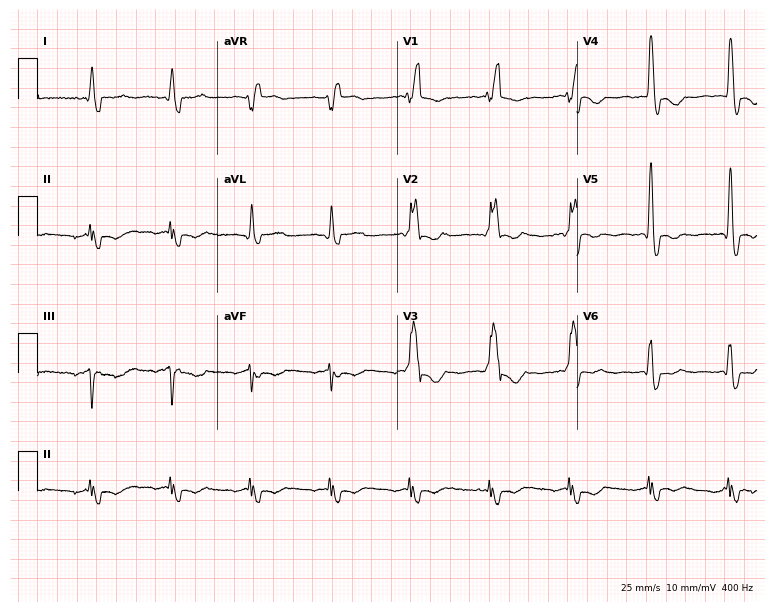
Standard 12-lead ECG recorded from a male, 85 years old (7.3-second recording at 400 Hz). None of these six findings is recorded: first-degree AV block, right bundle branch block, left bundle branch block, sinus bradycardia, atrial fibrillation, sinus tachycardia. Other findings, if any, are not listed.